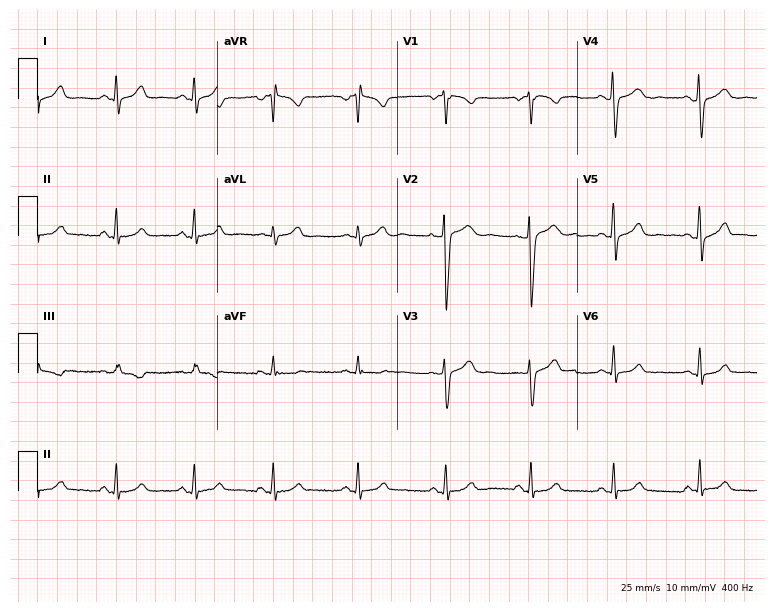
ECG — a female patient, 32 years old. Labelled as a normal ECG.